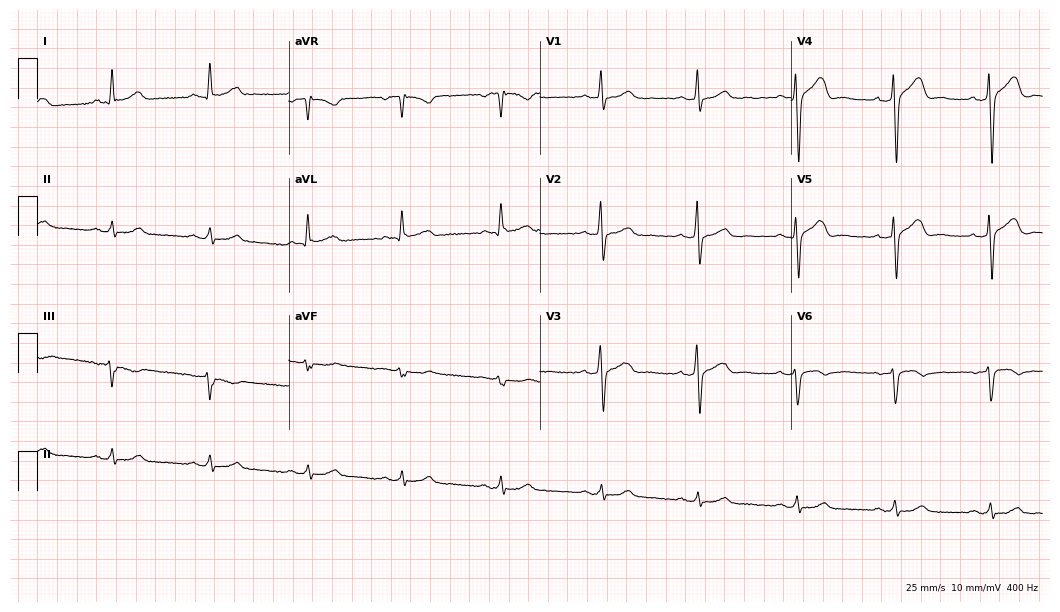
Standard 12-lead ECG recorded from a male, 46 years old (10.2-second recording at 400 Hz). None of these six findings is recorded: first-degree AV block, right bundle branch block, left bundle branch block, sinus bradycardia, atrial fibrillation, sinus tachycardia.